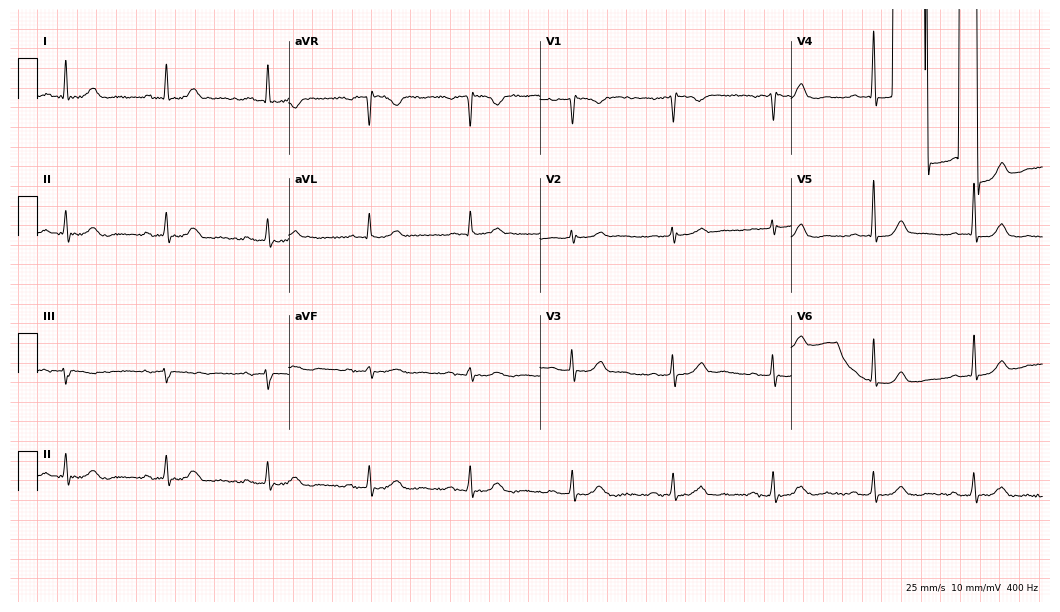
ECG — a 62-year-old female patient. Screened for six findings — first-degree AV block, right bundle branch block, left bundle branch block, sinus bradycardia, atrial fibrillation, sinus tachycardia — none is recorded.